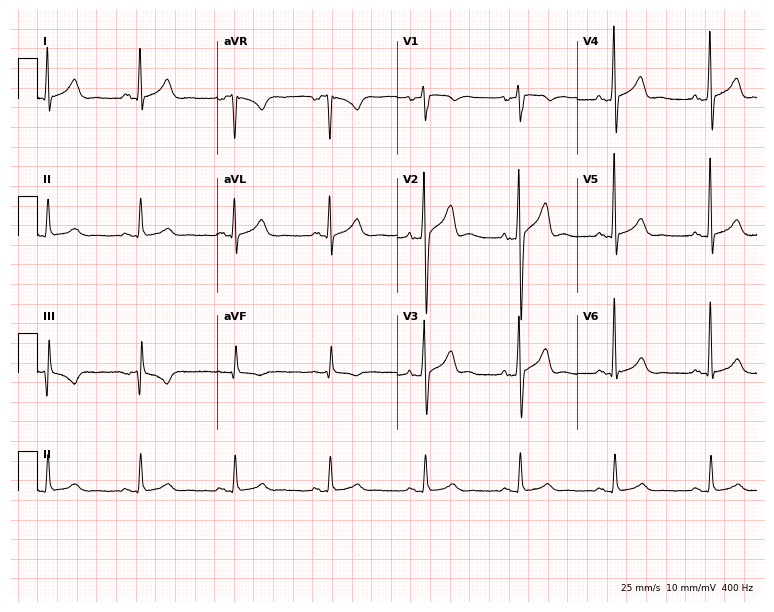
12-lead ECG from a 50-year-old male. Labelled as a normal ECG.